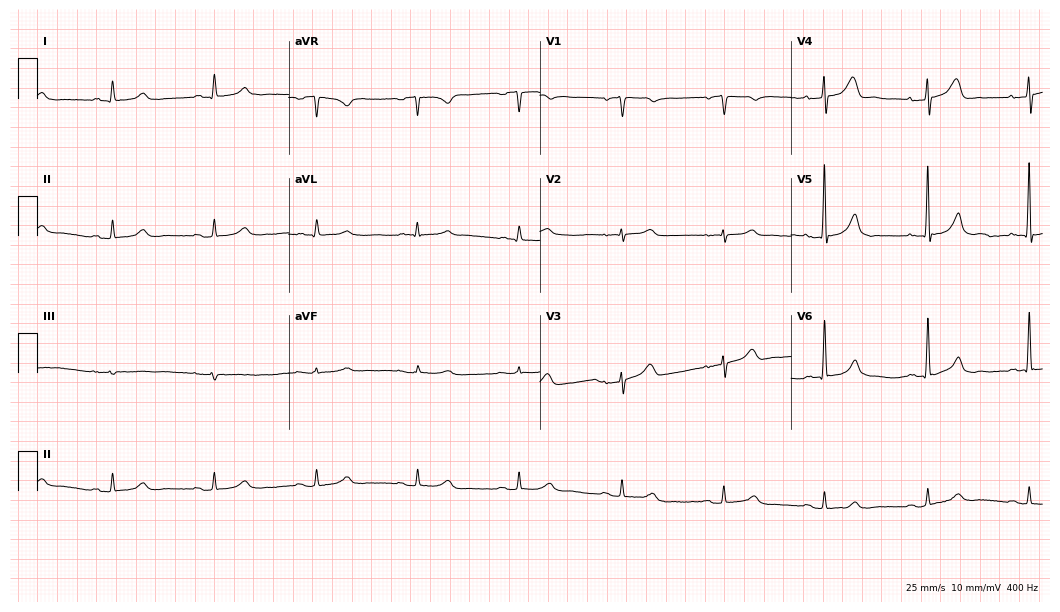
12-lead ECG from a male patient, 83 years old. Labelled as a normal ECG.